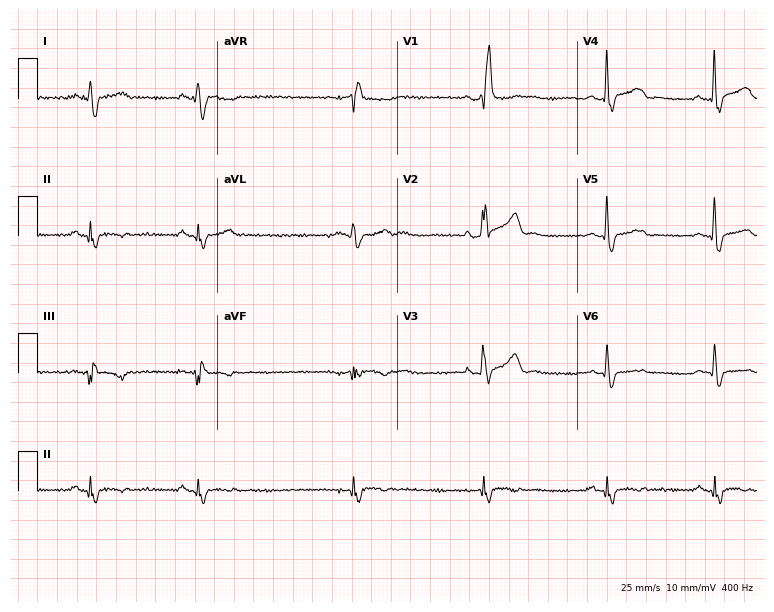
Resting 12-lead electrocardiogram. Patient: a 41-year-old man. The tracing shows right bundle branch block.